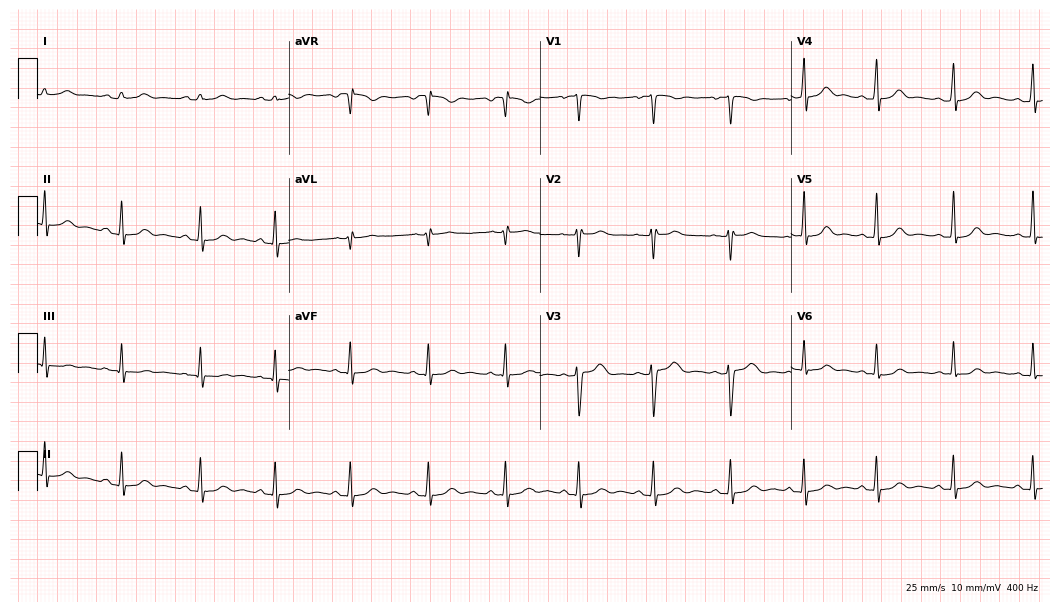
Electrocardiogram (10.2-second recording at 400 Hz), a woman, 21 years old. Overall reading on record: normal ECG.